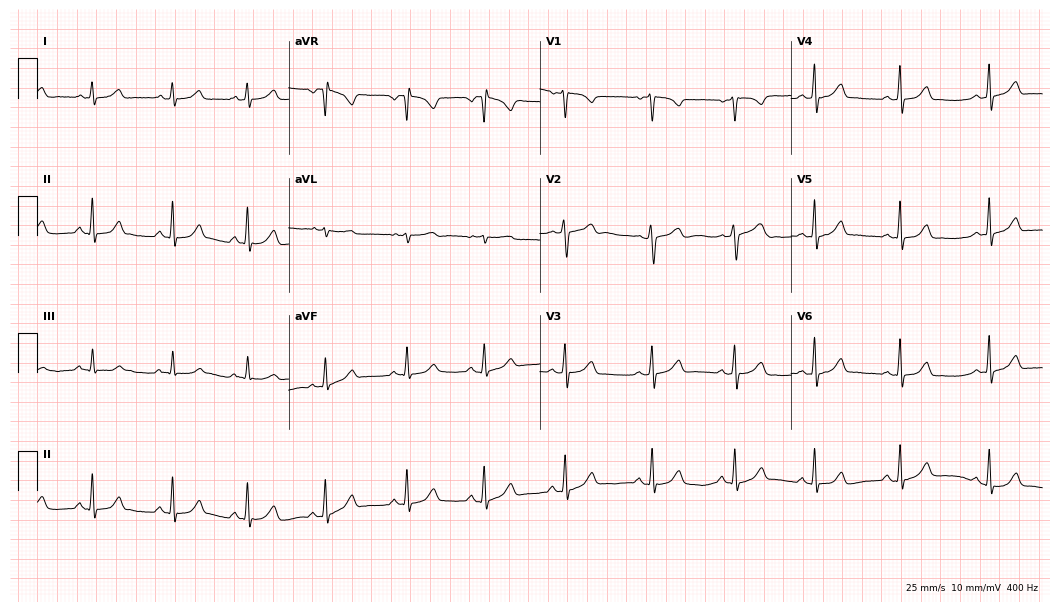
Standard 12-lead ECG recorded from a female patient, 28 years old (10.2-second recording at 400 Hz). Read as a normal ECG.